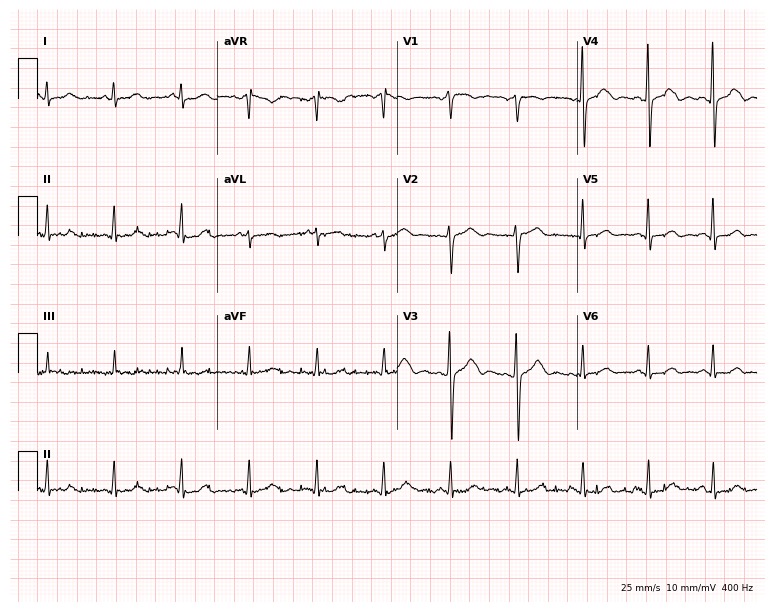
12-lead ECG from a female patient, 44 years old. Recorded interpretation: within normal limits.